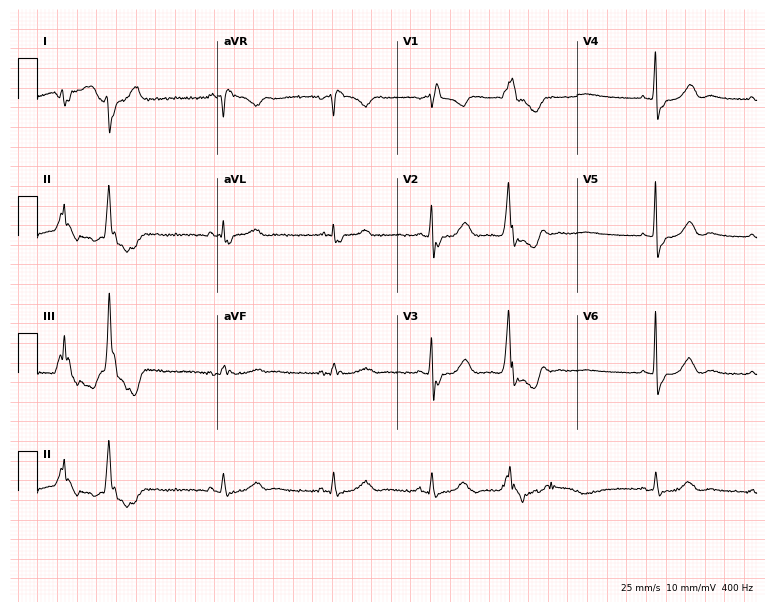
12-lead ECG from an 84-year-old male patient. Shows right bundle branch block.